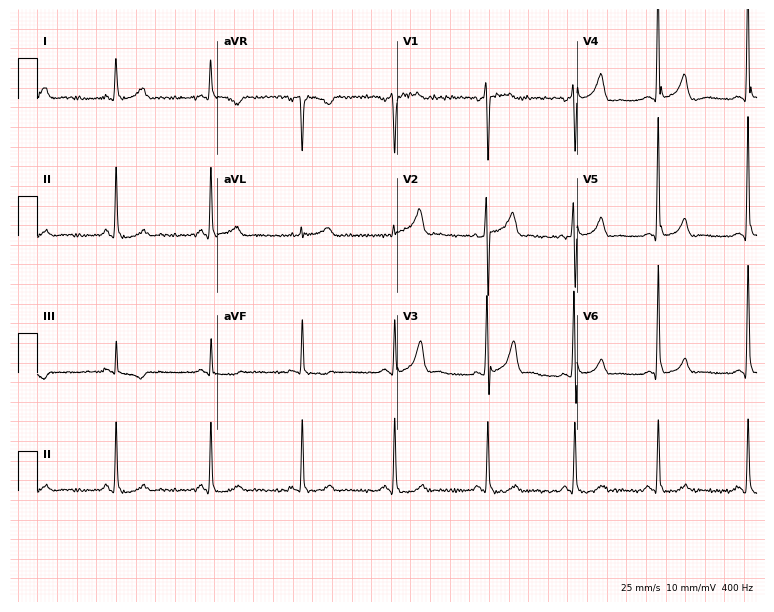
12-lead ECG from a 41-year-old man. Screened for six findings — first-degree AV block, right bundle branch block, left bundle branch block, sinus bradycardia, atrial fibrillation, sinus tachycardia — none is recorded. Other findings, if any, are not listed.